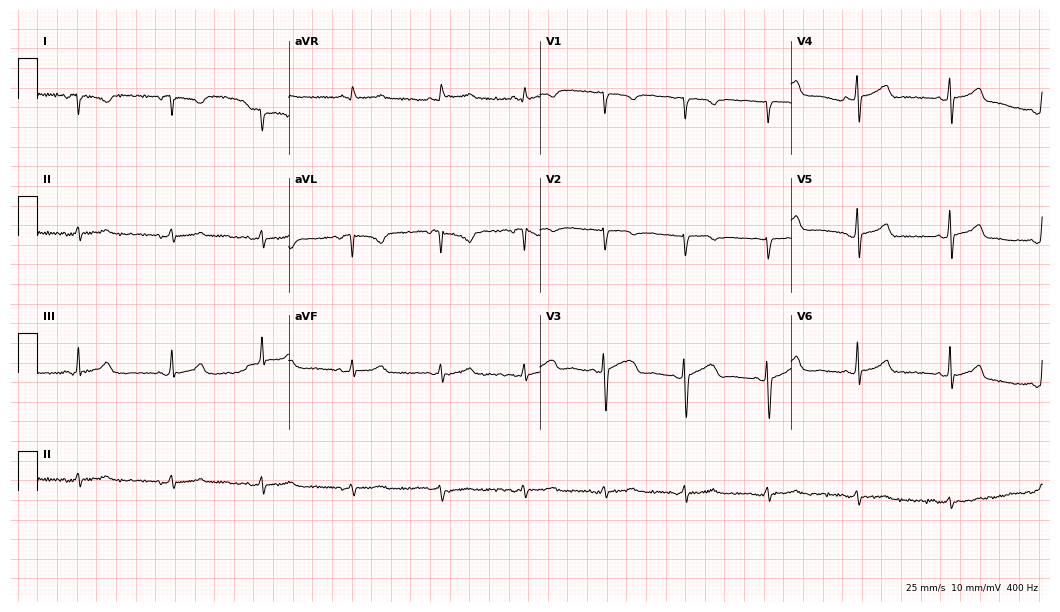
Standard 12-lead ECG recorded from a female patient, 26 years old. None of these six findings is recorded: first-degree AV block, right bundle branch block (RBBB), left bundle branch block (LBBB), sinus bradycardia, atrial fibrillation (AF), sinus tachycardia.